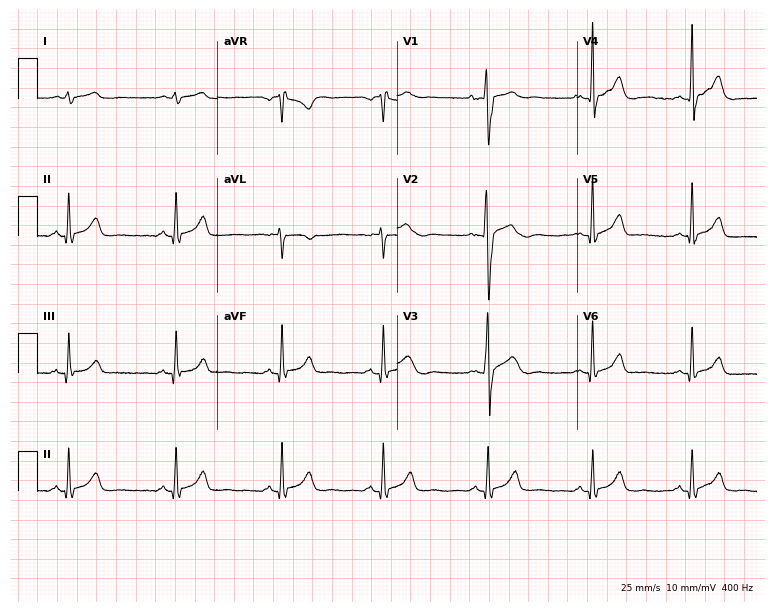
12-lead ECG from a 25-year-old man (7.3-second recording at 400 Hz). No first-degree AV block, right bundle branch block, left bundle branch block, sinus bradycardia, atrial fibrillation or sinus tachycardia recorded for this tracing. Findings outside these six are not listed.